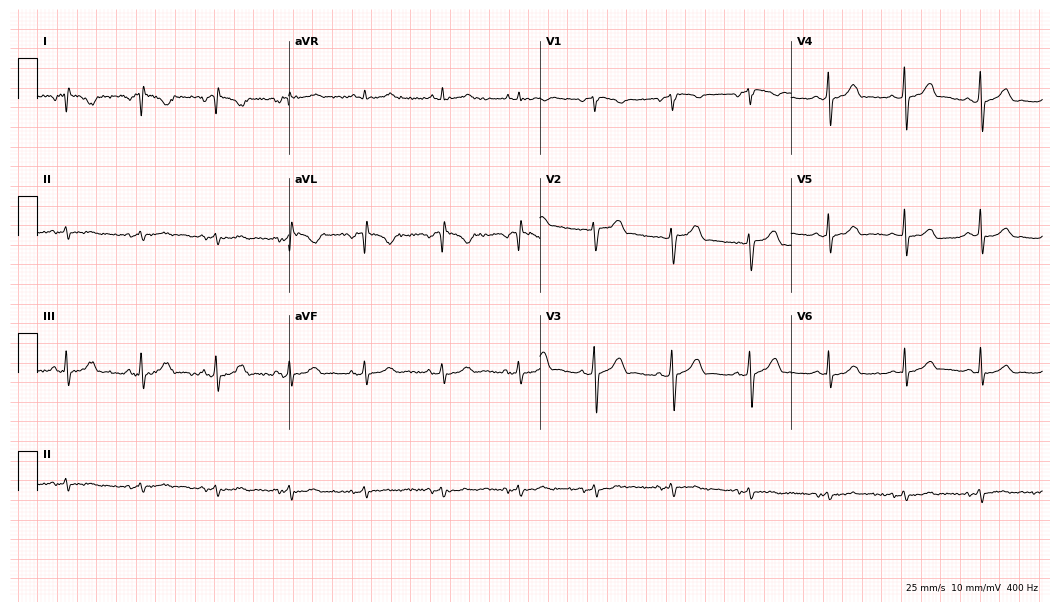
ECG — a woman, 48 years old. Screened for six findings — first-degree AV block, right bundle branch block (RBBB), left bundle branch block (LBBB), sinus bradycardia, atrial fibrillation (AF), sinus tachycardia — none is recorded. Other findings, if any, are not listed.